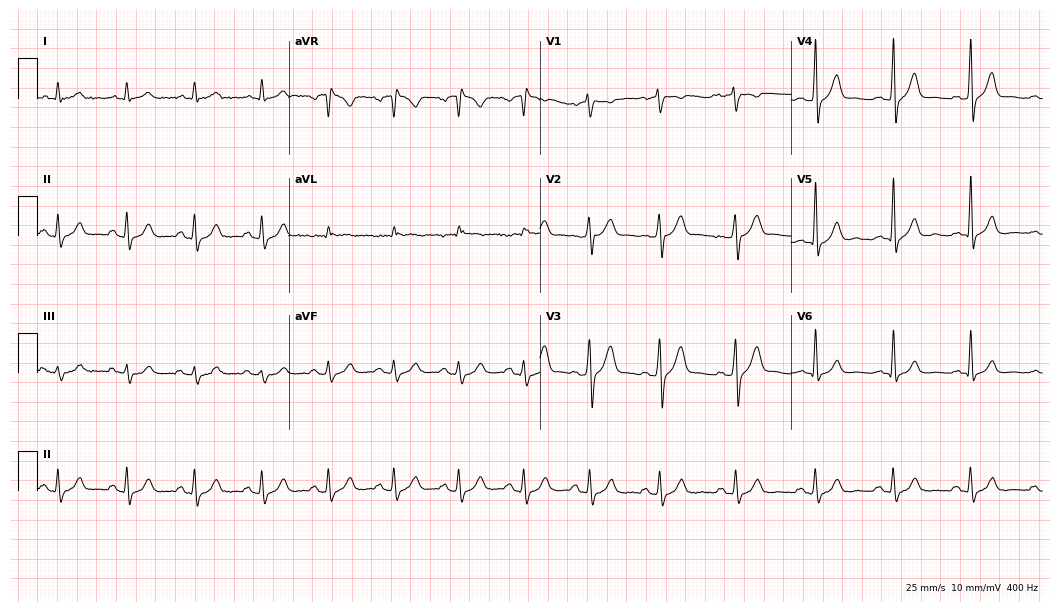
Standard 12-lead ECG recorded from a male patient, 34 years old. None of these six findings is recorded: first-degree AV block, right bundle branch block (RBBB), left bundle branch block (LBBB), sinus bradycardia, atrial fibrillation (AF), sinus tachycardia. Findings outside these six are not listed.